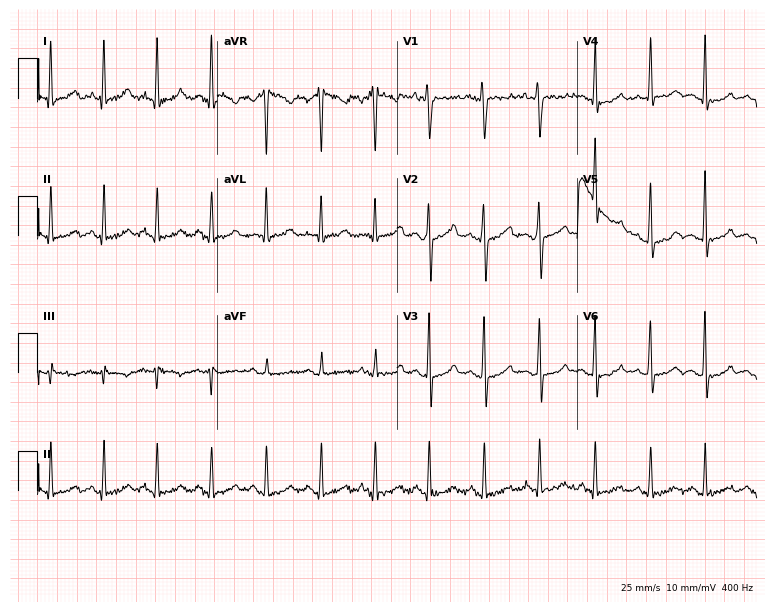
12-lead ECG from a female, 22 years old (7.3-second recording at 400 Hz). Shows sinus tachycardia (a sinus rate of 100 beats per minute or more).